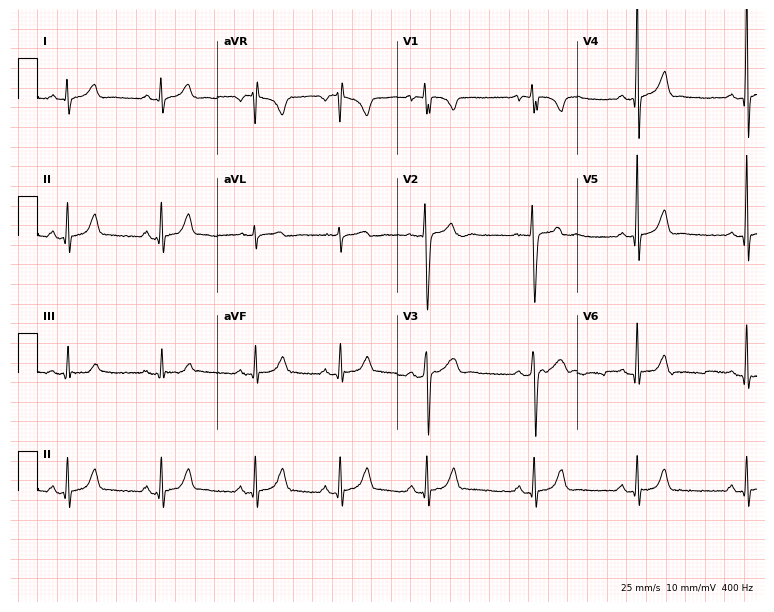
12-lead ECG from a male patient, 17 years old. Labelled as a normal ECG.